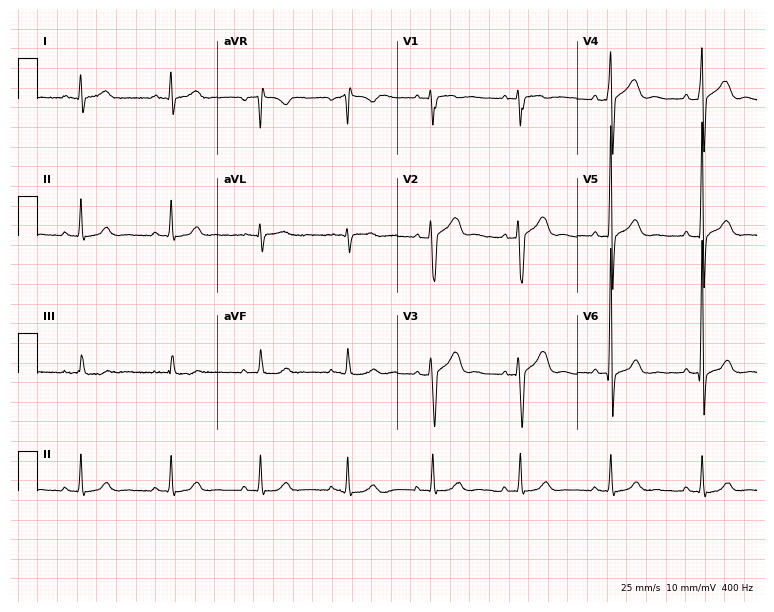
12-lead ECG from a 45-year-old male. Labelled as a normal ECG.